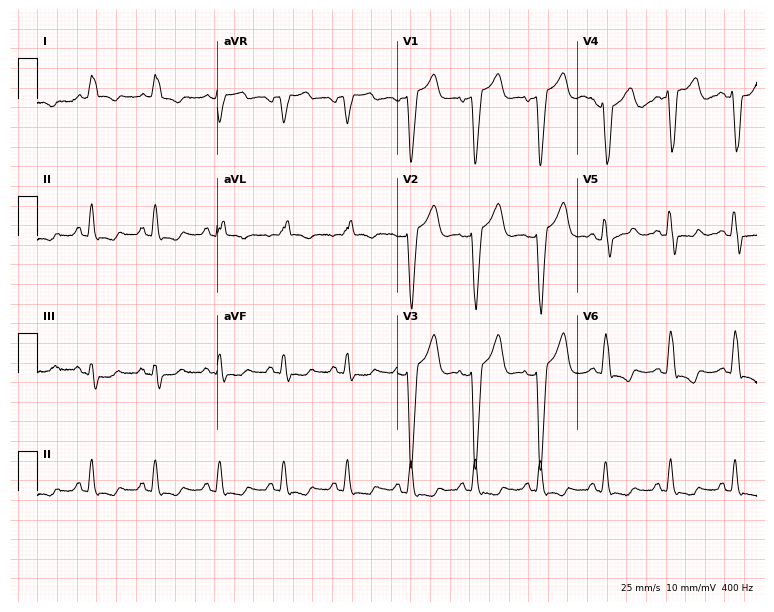
Resting 12-lead electrocardiogram (7.3-second recording at 400 Hz). Patient: a woman, 85 years old. None of these six findings is recorded: first-degree AV block, right bundle branch block (RBBB), left bundle branch block (LBBB), sinus bradycardia, atrial fibrillation (AF), sinus tachycardia.